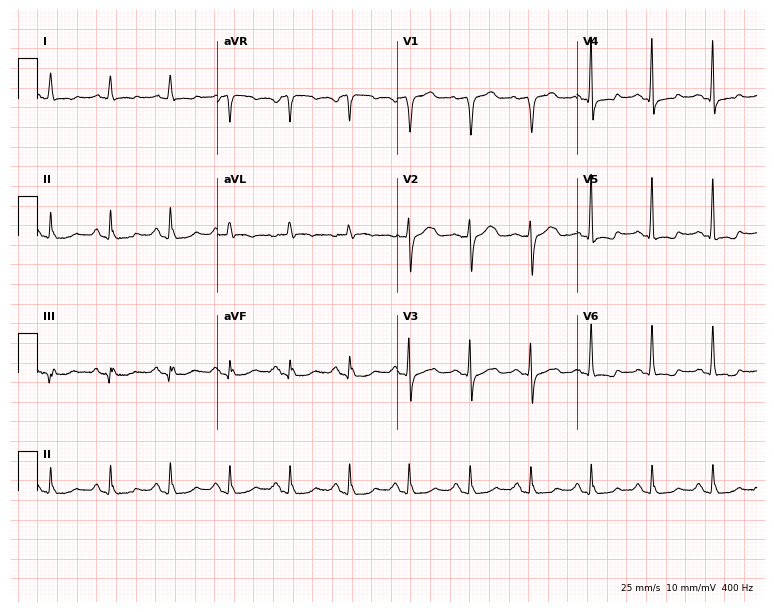
Electrocardiogram, a 78-year-old female. Of the six screened findings (first-degree AV block, right bundle branch block, left bundle branch block, sinus bradycardia, atrial fibrillation, sinus tachycardia), none is recorded.